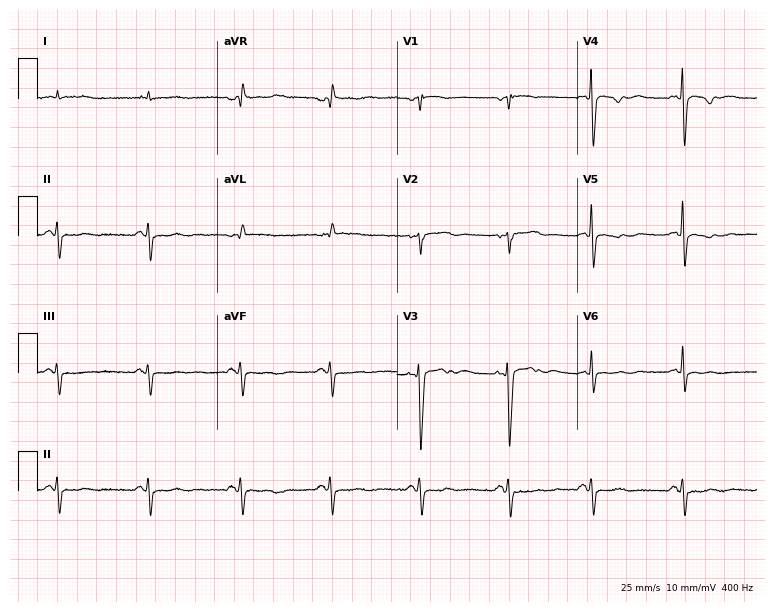
Standard 12-lead ECG recorded from a male patient, 59 years old. None of these six findings is recorded: first-degree AV block, right bundle branch block (RBBB), left bundle branch block (LBBB), sinus bradycardia, atrial fibrillation (AF), sinus tachycardia.